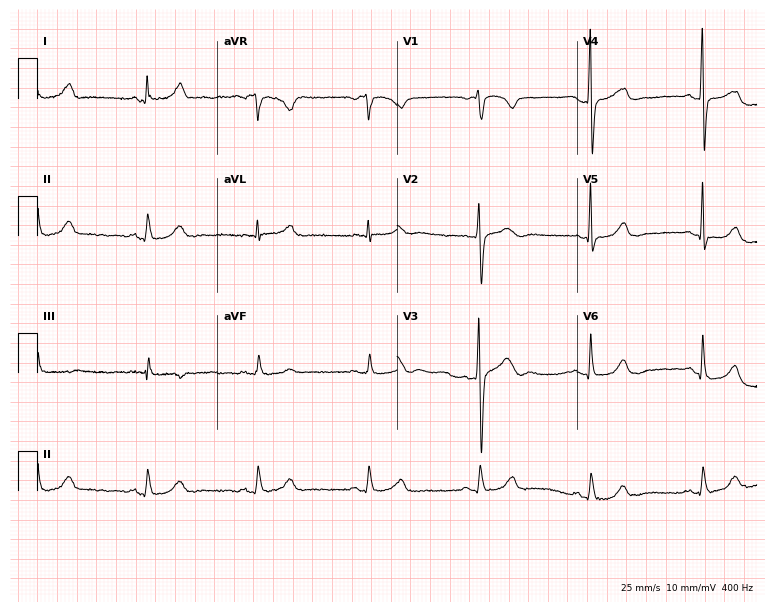
Electrocardiogram (7.3-second recording at 400 Hz), a female, 49 years old. Of the six screened findings (first-degree AV block, right bundle branch block, left bundle branch block, sinus bradycardia, atrial fibrillation, sinus tachycardia), none is recorded.